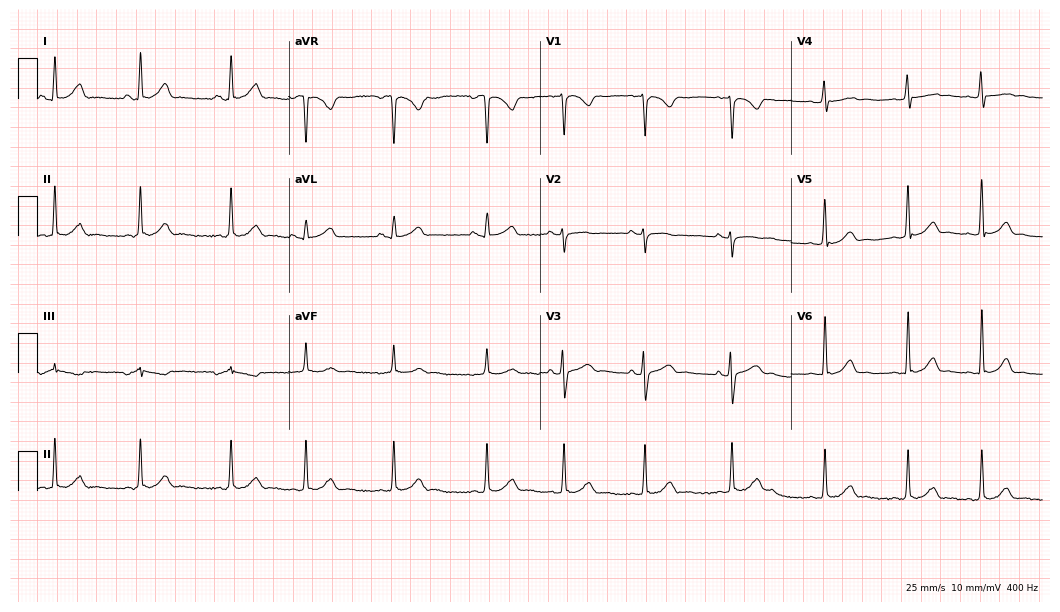
Standard 12-lead ECG recorded from a female patient, 20 years old (10.2-second recording at 400 Hz). Read as a normal ECG.